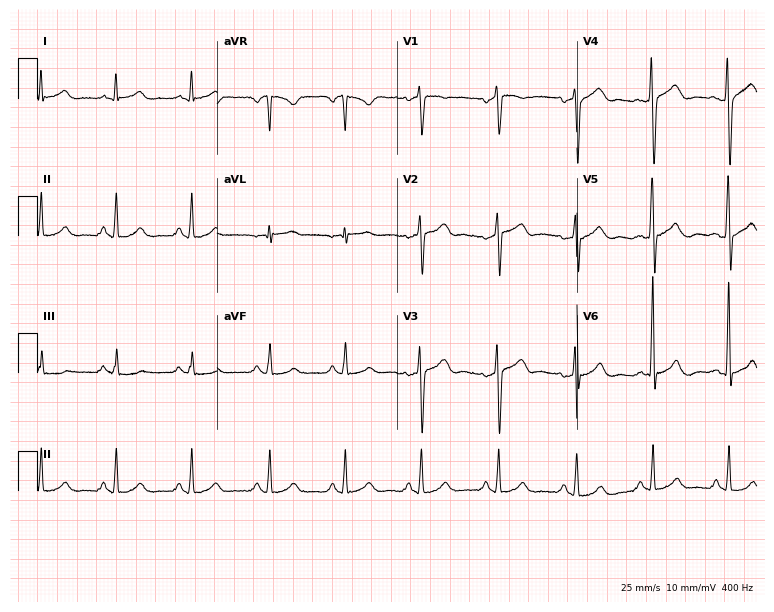
Electrocardiogram, a 51-year-old man. Overall reading on record: normal ECG.